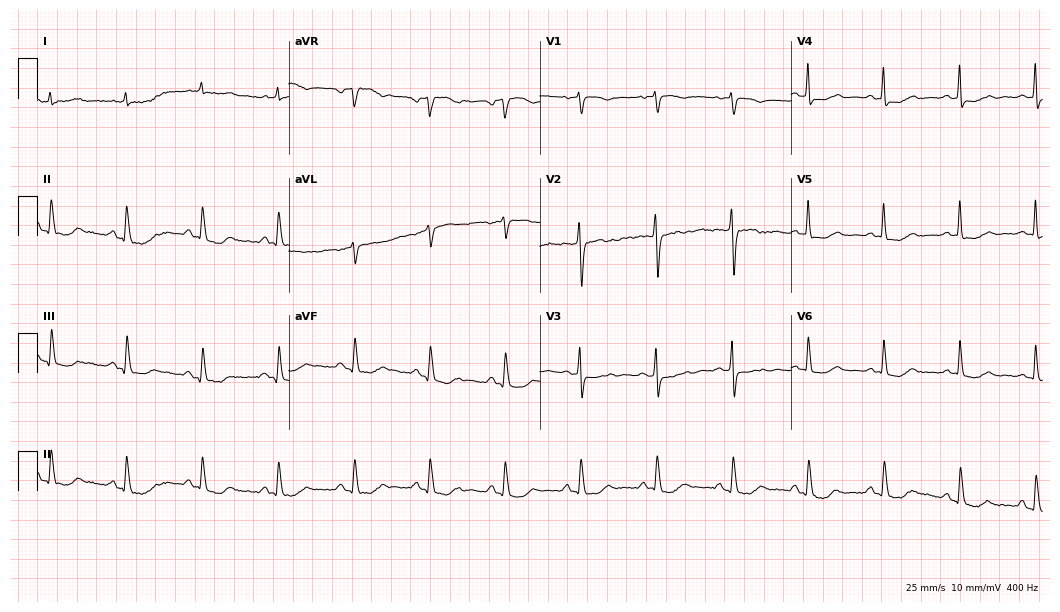
Electrocardiogram, a woman, 65 years old. Of the six screened findings (first-degree AV block, right bundle branch block, left bundle branch block, sinus bradycardia, atrial fibrillation, sinus tachycardia), none is recorded.